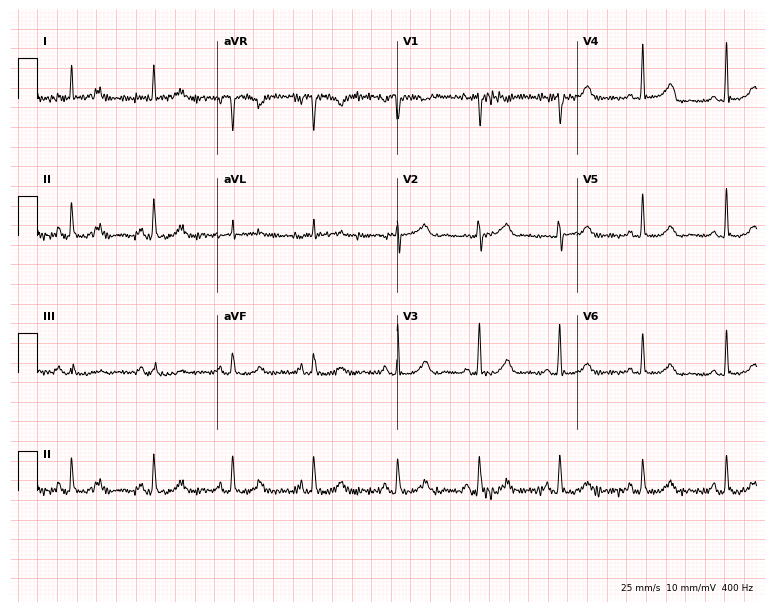
12-lead ECG from an 83-year-old woman. Labelled as a normal ECG.